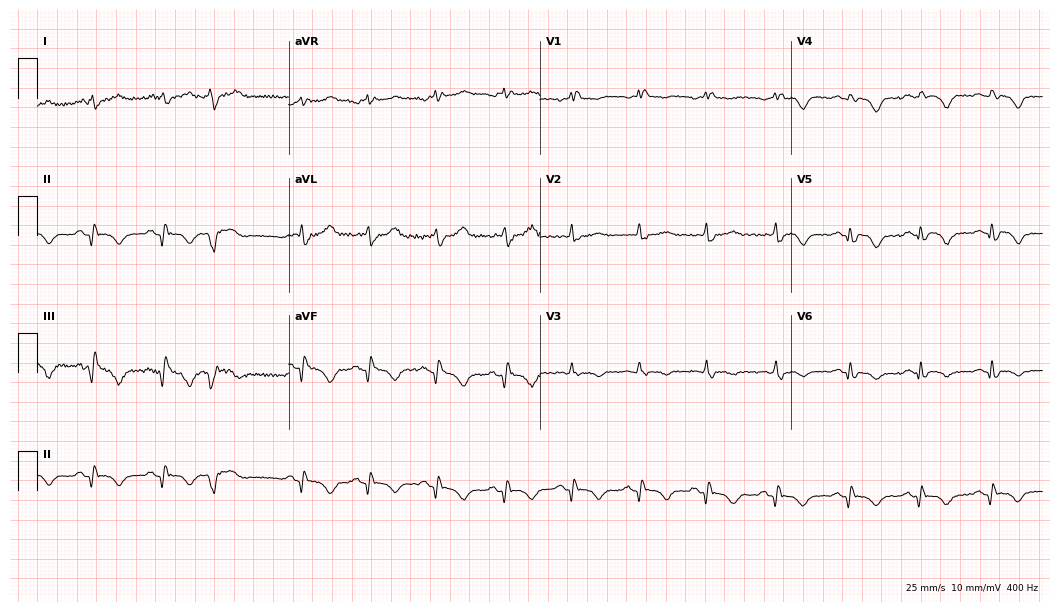
Electrocardiogram (10.2-second recording at 400 Hz), a 67-year-old male. Interpretation includes right bundle branch block (RBBB).